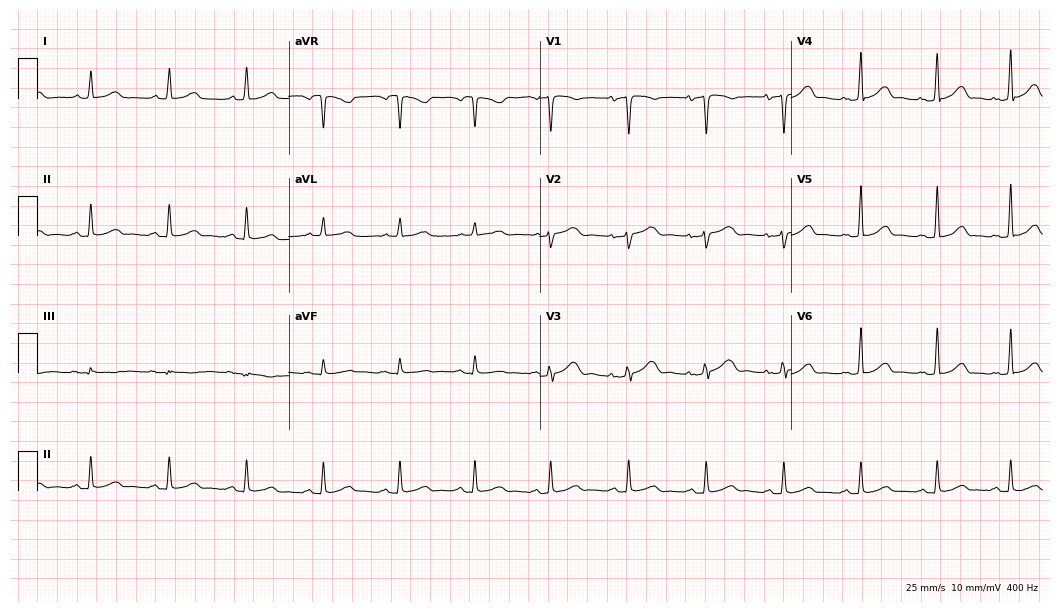
ECG (10.2-second recording at 400 Hz) — a 44-year-old female. Labelled as a normal ECG.